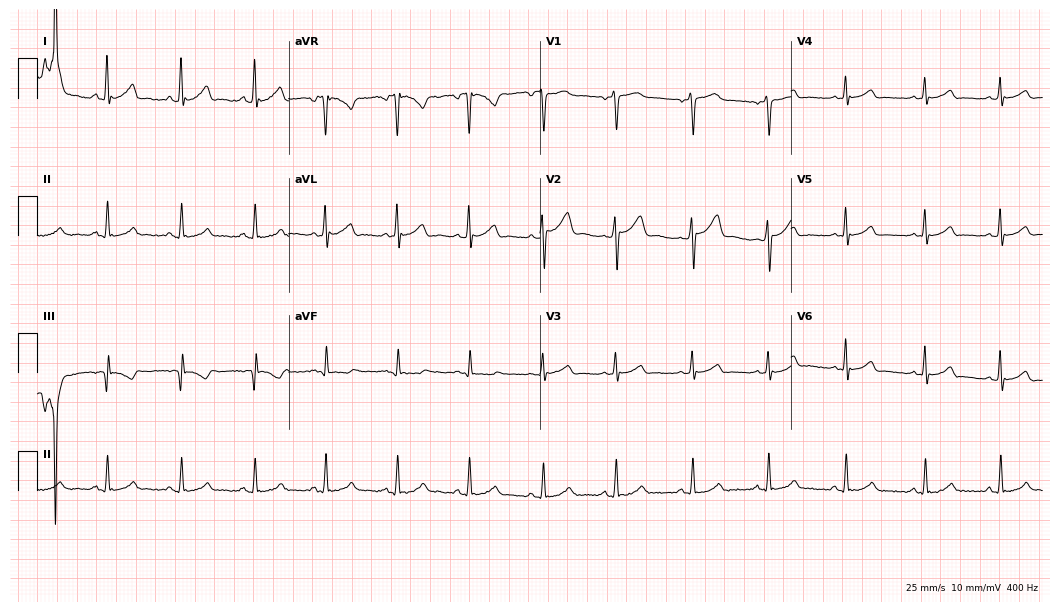
ECG (10.2-second recording at 400 Hz) — a male, 36 years old. Labelled as a normal ECG.